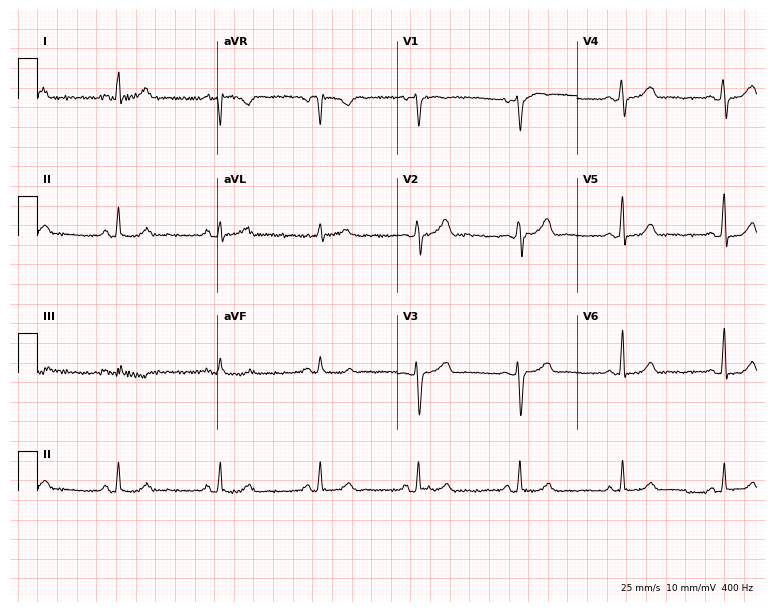
Resting 12-lead electrocardiogram (7.3-second recording at 400 Hz). Patient: a female, 50 years old. Read as a normal ECG.